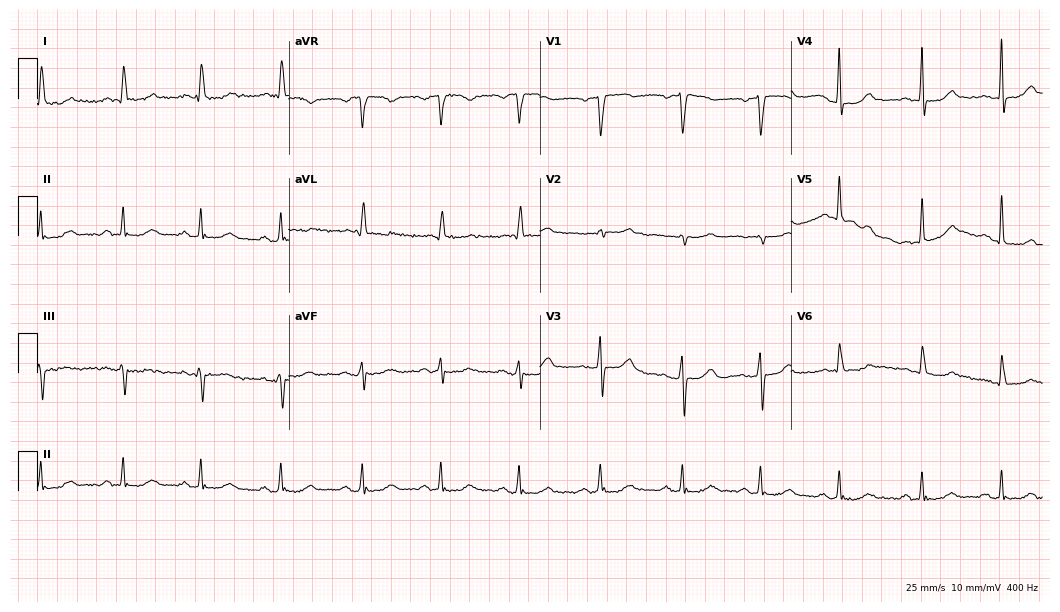
Standard 12-lead ECG recorded from a female, 56 years old (10.2-second recording at 400 Hz). None of these six findings is recorded: first-degree AV block, right bundle branch block, left bundle branch block, sinus bradycardia, atrial fibrillation, sinus tachycardia. Only these six findings were labelled.